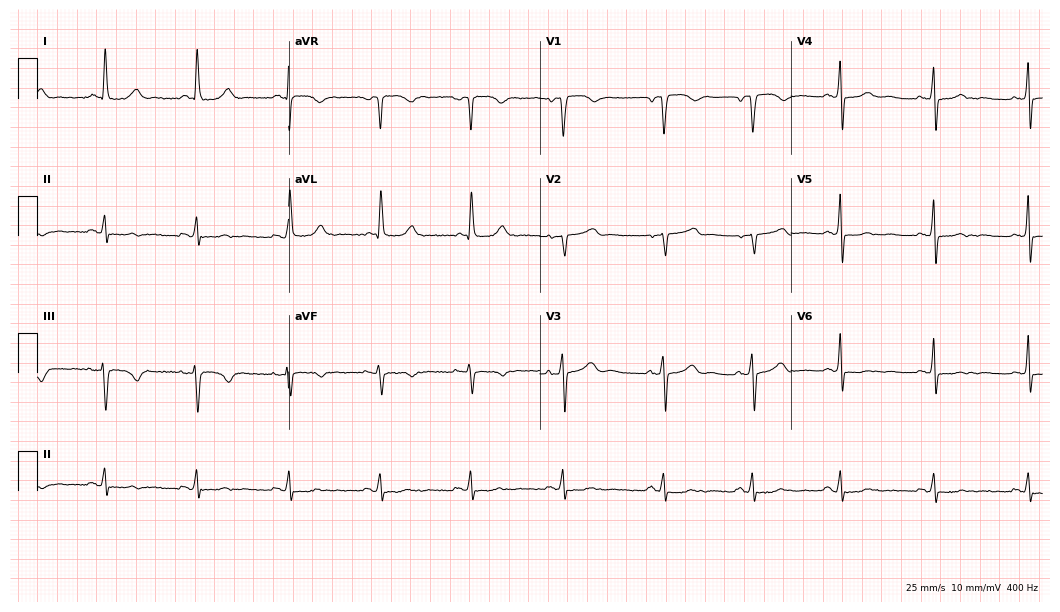
ECG (10.2-second recording at 400 Hz) — a woman, 70 years old. Screened for six findings — first-degree AV block, right bundle branch block (RBBB), left bundle branch block (LBBB), sinus bradycardia, atrial fibrillation (AF), sinus tachycardia — none is recorded.